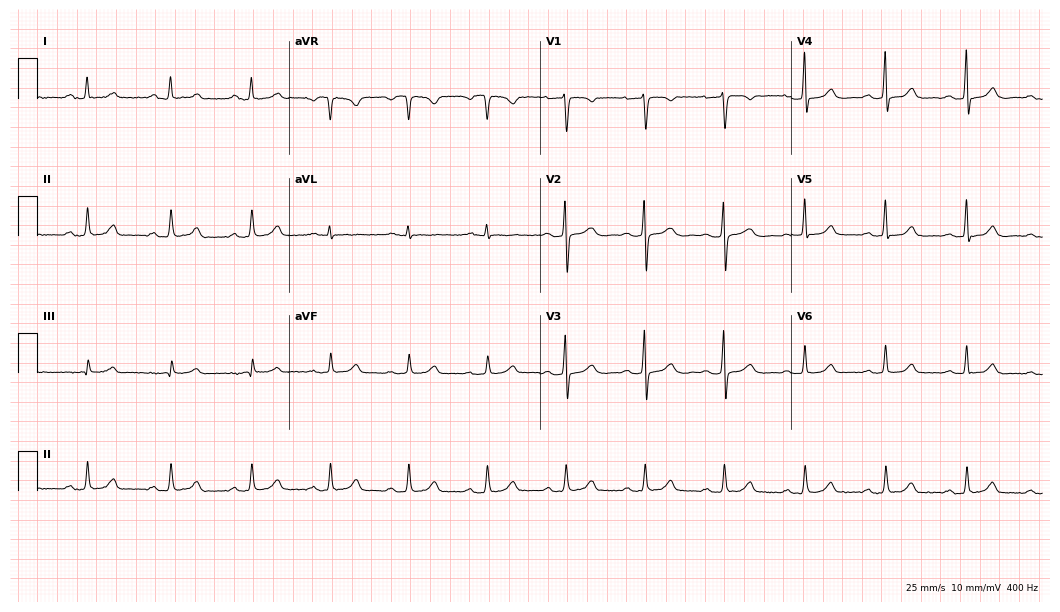
Standard 12-lead ECG recorded from a female patient, 52 years old (10.2-second recording at 400 Hz). Read as a normal ECG.